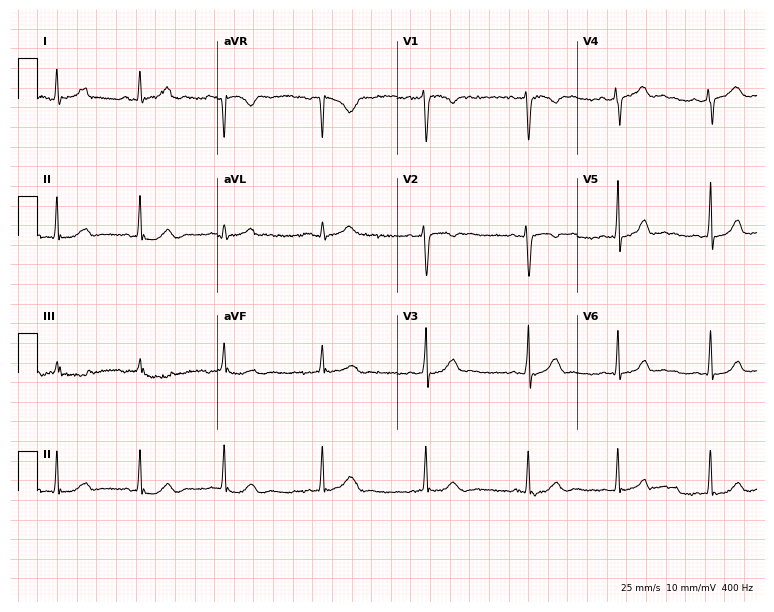
Resting 12-lead electrocardiogram (7.3-second recording at 400 Hz). Patient: a female, 28 years old. Read as a normal ECG.